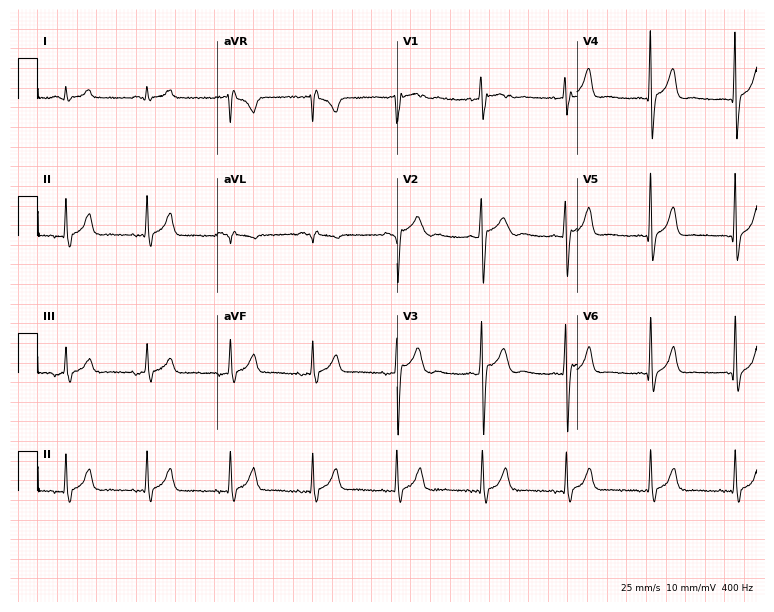
Electrocardiogram (7.3-second recording at 400 Hz), a 25-year-old male. Of the six screened findings (first-degree AV block, right bundle branch block (RBBB), left bundle branch block (LBBB), sinus bradycardia, atrial fibrillation (AF), sinus tachycardia), none is recorded. Other findings, if any, are not listed.